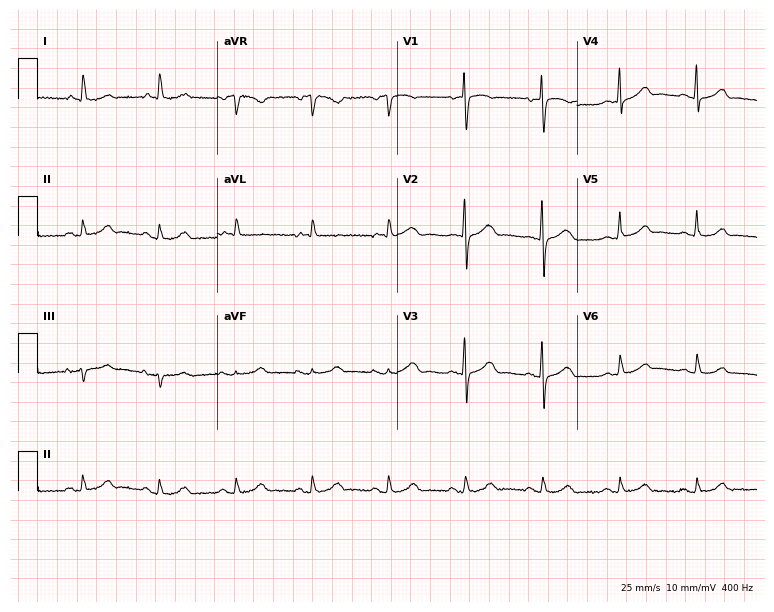
Standard 12-lead ECG recorded from a 79-year-old female patient (7.3-second recording at 400 Hz). Read as a normal ECG.